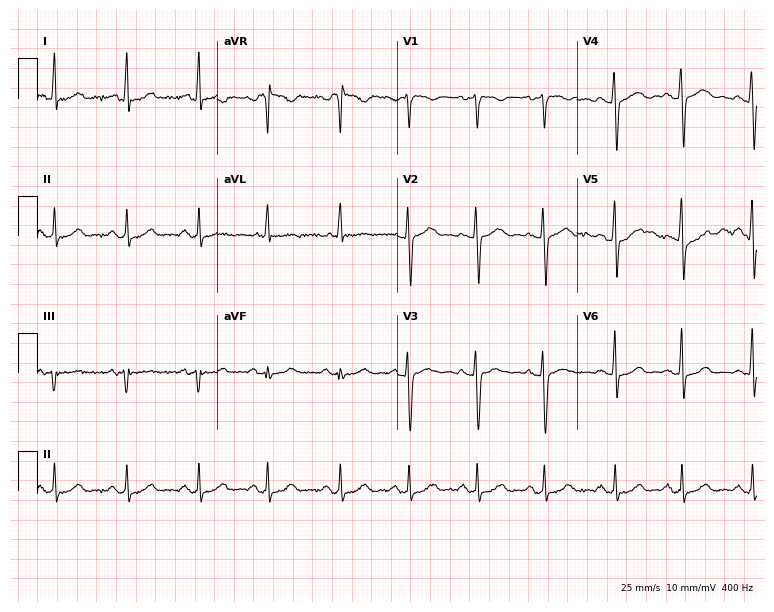
Resting 12-lead electrocardiogram. Patient: a 35-year-old female. Read as a normal ECG.